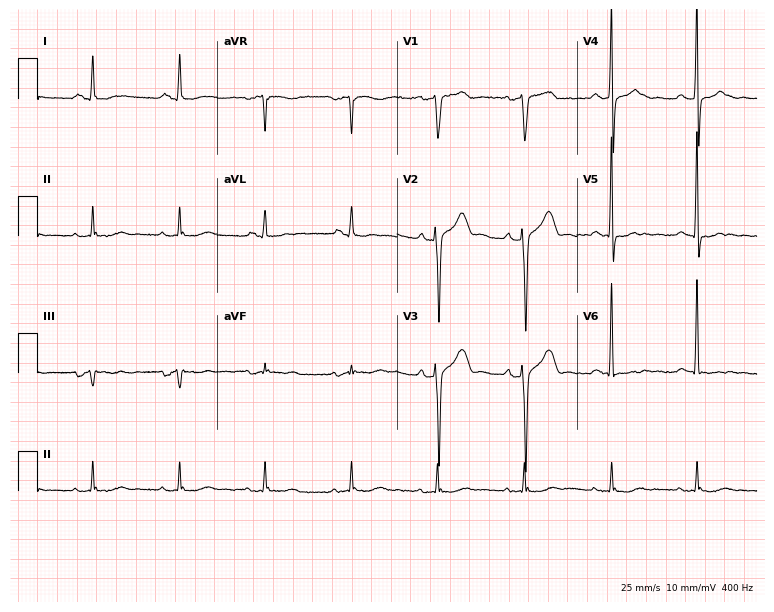
Electrocardiogram, a 64-year-old male. Of the six screened findings (first-degree AV block, right bundle branch block (RBBB), left bundle branch block (LBBB), sinus bradycardia, atrial fibrillation (AF), sinus tachycardia), none is recorded. Findings outside these six are not listed.